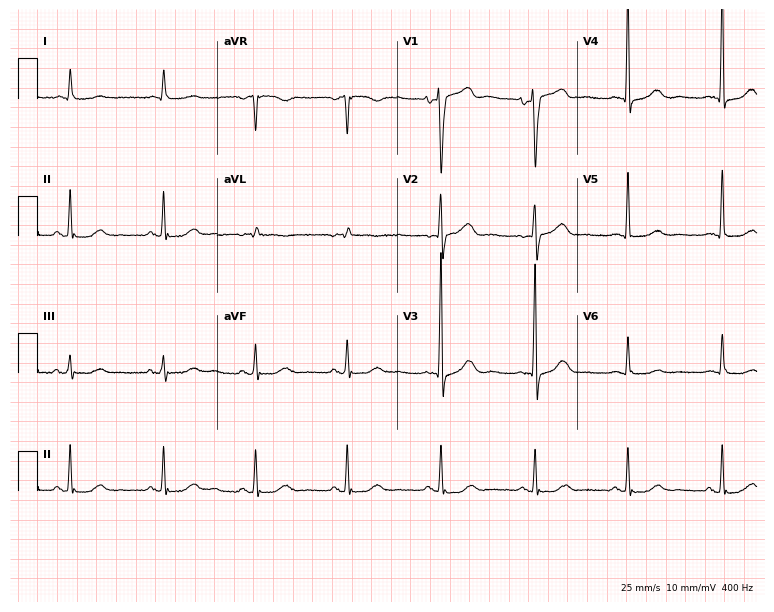
12-lead ECG from a male, 72 years old. Labelled as a normal ECG.